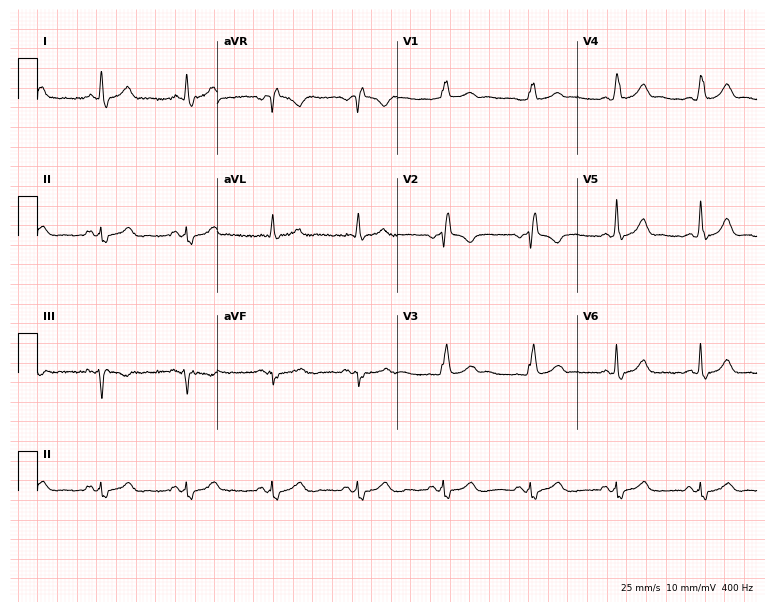
12-lead ECG from a 63-year-old male patient. Findings include right bundle branch block.